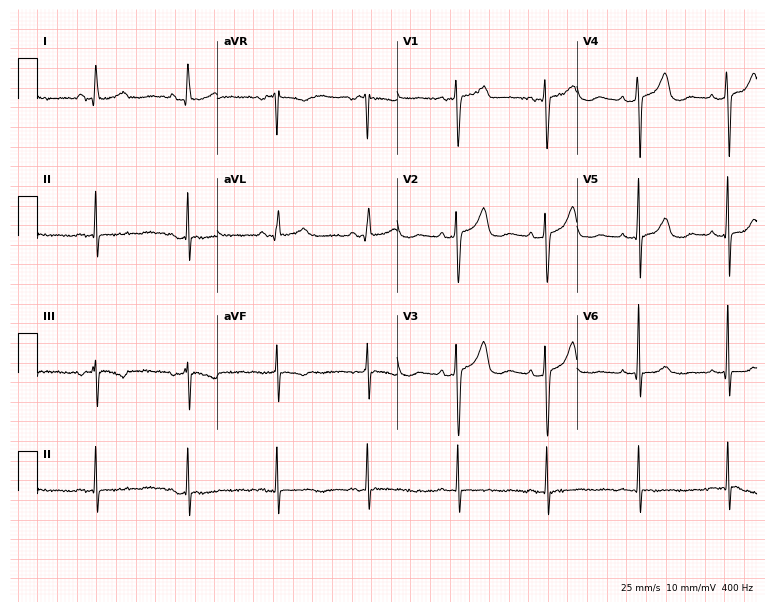
Electrocardiogram (7.3-second recording at 400 Hz), a 52-year-old female patient. Of the six screened findings (first-degree AV block, right bundle branch block, left bundle branch block, sinus bradycardia, atrial fibrillation, sinus tachycardia), none is recorded. Findings outside these six are not listed.